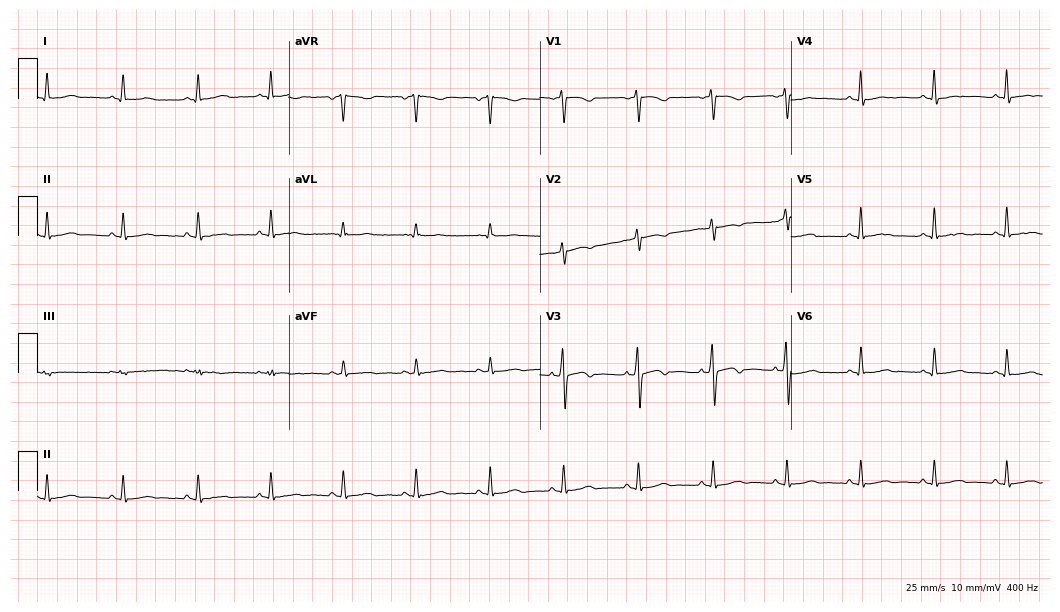
Standard 12-lead ECG recorded from a woman, 58 years old. None of these six findings is recorded: first-degree AV block, right bundle branch block (RBBB), left bundle branch block (LBBB), sinus bradycardia, atrial fibrillation (AF), sinus tachycardia. Other findings, if any, are not listed.